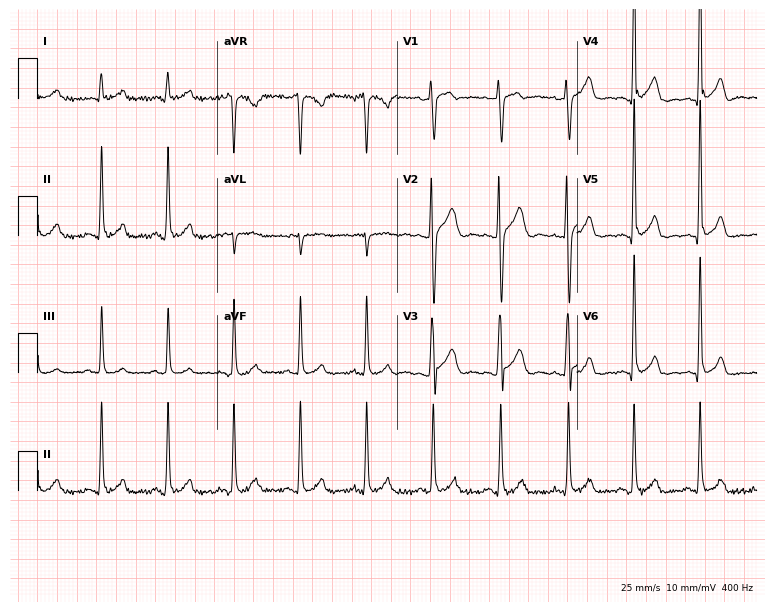
Standard 12-lead ECG recorded from a 34-year-old man (7.3-second recording at 400 Hz). Read as a normal ECG.